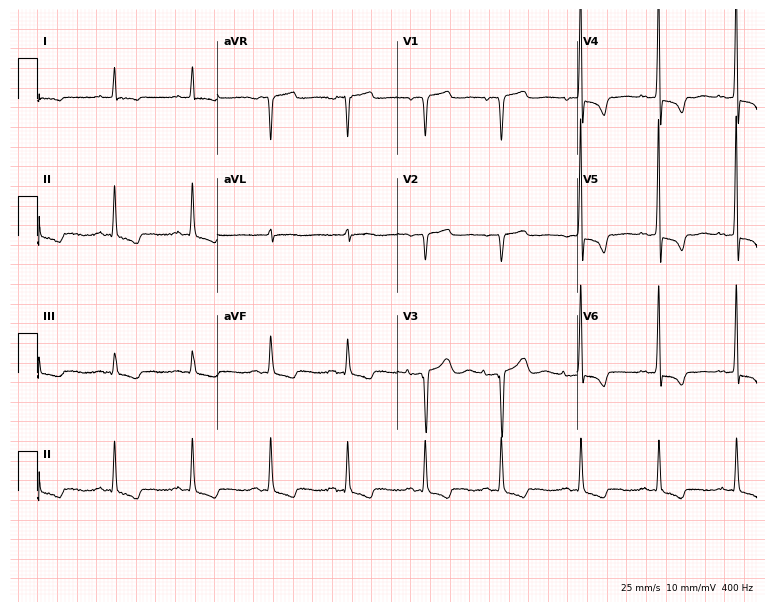
Resting 12-lead electrocardiogram (7.3-second recording at 400 Hz). Patient: a female, 85 years old. None of these six findings is recorded: first-degree AV block, right bundle branch block, left bundle branch block, sinus bradycardia, atrial fibrillation, sinus tachycardia. Only these six findings were labelled.